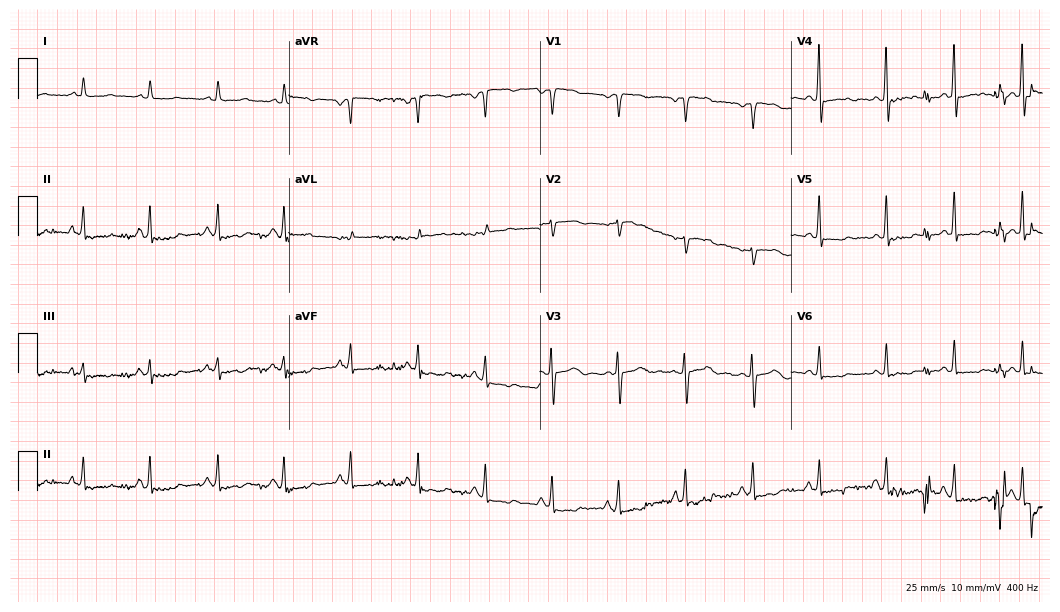
Standard 12-lead ECG recorded from a woman, 61 years old (10.2-second recording at 400 Hz). None of these six findings is recorded: first-degree AV block, right bundle branch block (RBBB), left bundle branch block (LBBB), sinus bradycardia, atrial fibrillation (AF), sinus tachycardia.